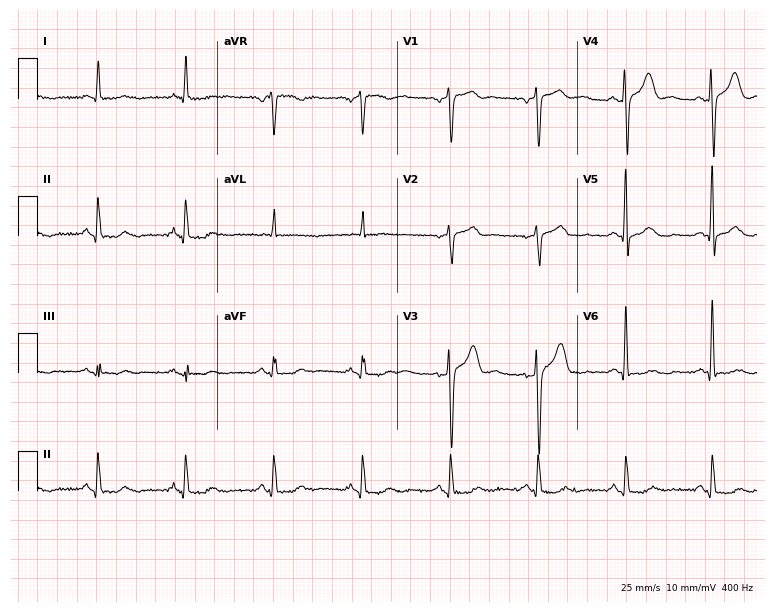
Resting 12-lead electrocardiogram (7.3-second recording at 400 Hz). Patient: a man, 75 years old. Read as a normal ECG.